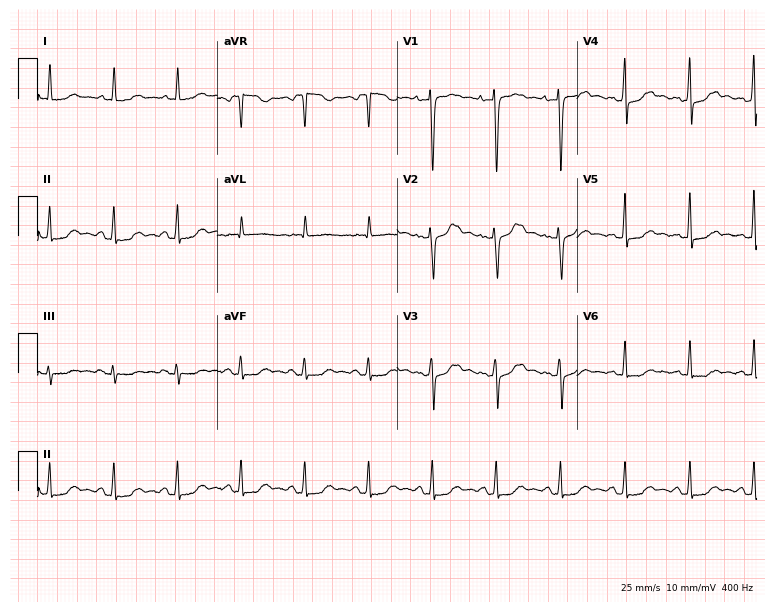
Resting 12-lead electrocardiogram. Patient: a 49-year-old woman. Read as a normal ECG.